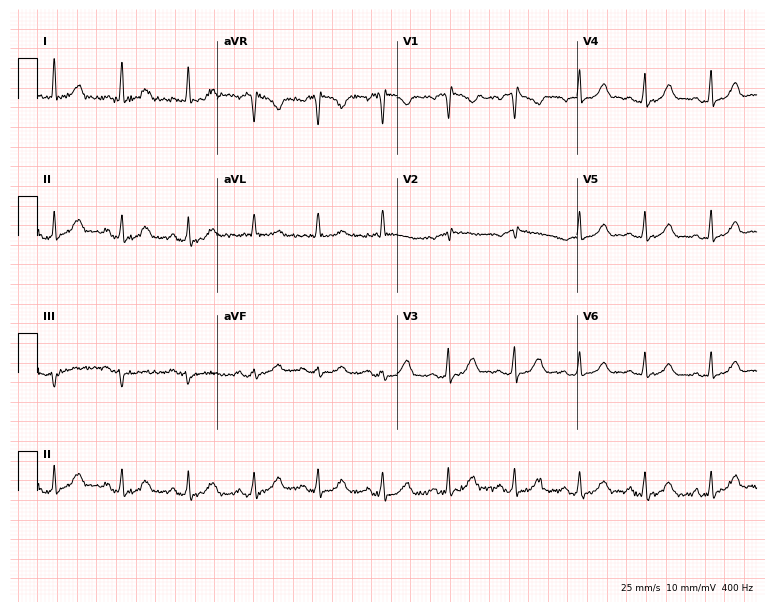
Standard 12-lead ECG recorded from a 54-year-old female patient (7.3-second recording at 400 Hz). None of these six findings is recorded: first-degree AV block, right bundle branch block, left bundle branch block, sinus bradycardia, atrial fibrillation, sinus tachycardia.